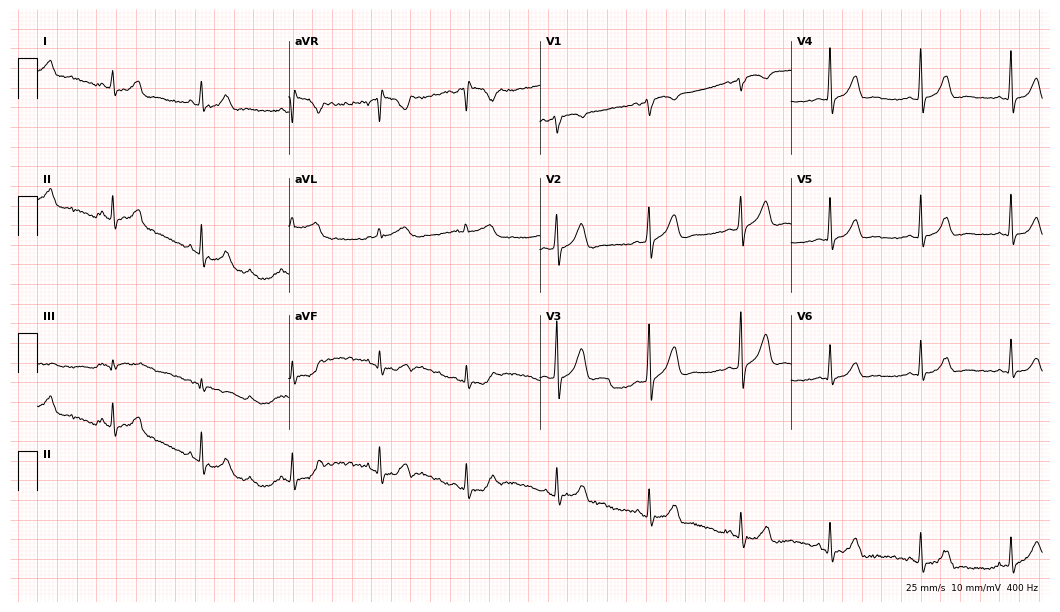
ECG (10.2-second recording at 400 Hz) — a female patient, 29 years old. Labelled as a normal ECG.